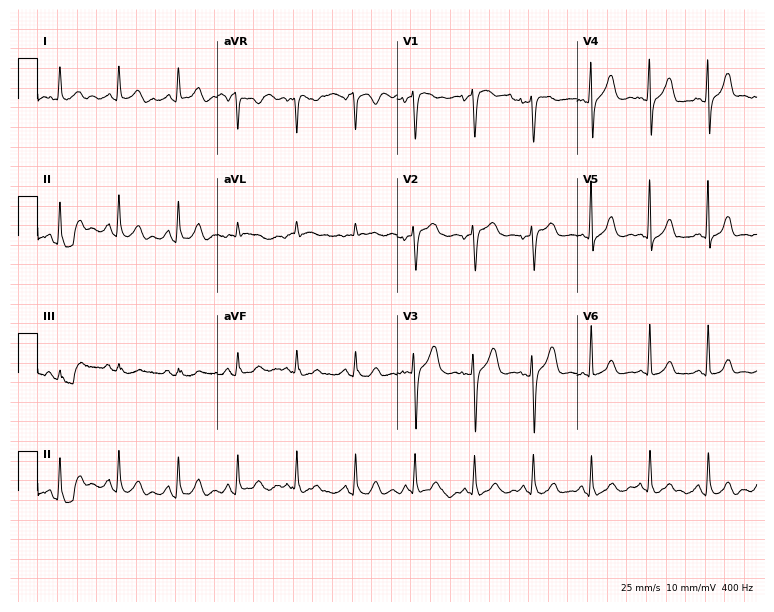
Standard 12-lead ECG recorded from a female patient, 84 years old. Read as a normal ECG.